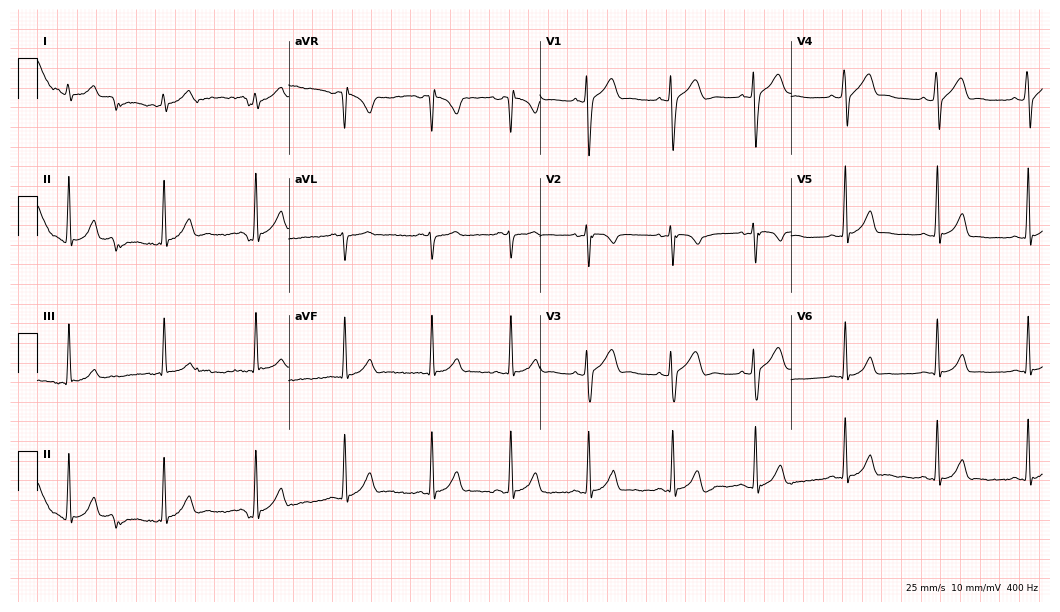
ECG (10.2-second recording at 400 Hz) — a man, 24 years old. Labelled as a normal ECG.